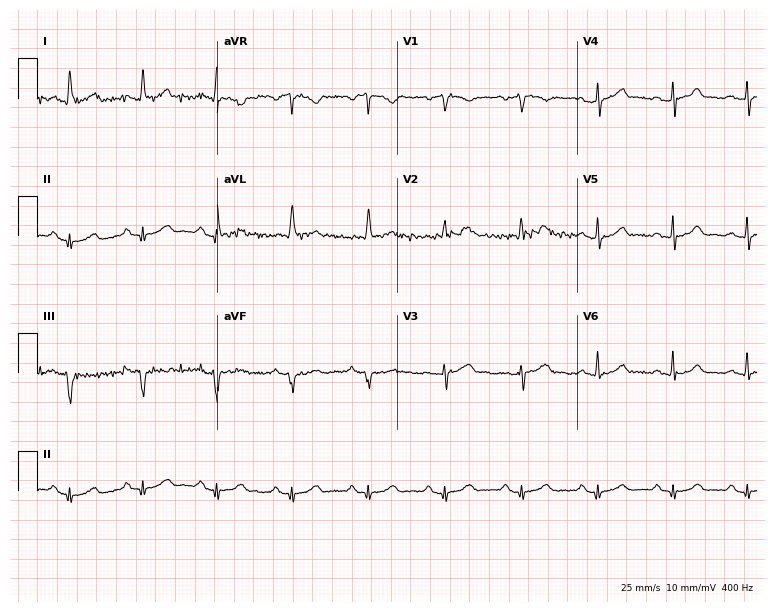
Resting 12-lead electrocardiogram. Patient: a man, 61 years old. None of these six findings is recorded: first-degree AV block, right bundle branch block, left bundle branch block, sinus bradycardia, atrial fibrillation, sinus tachycardia. Only these six findings were labelled.